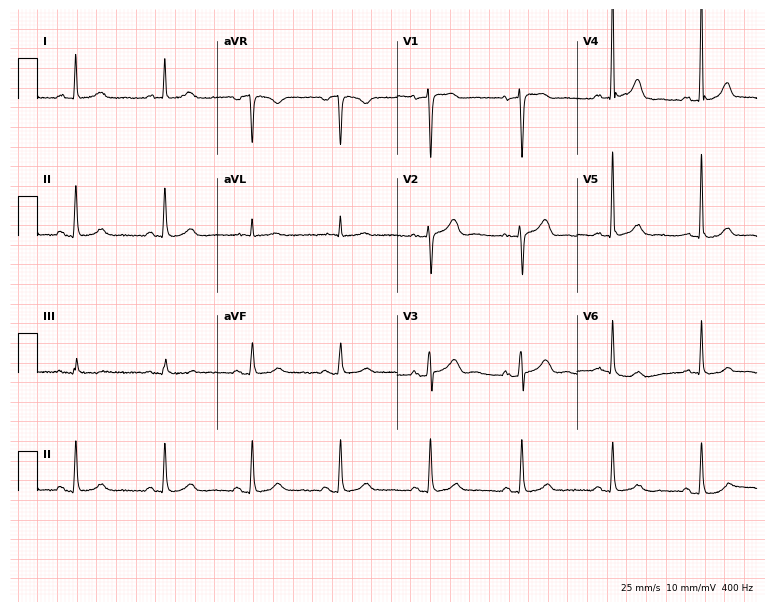
Electrocardiogram, a 52-year-old male. Overall reading on record: normal ECG.